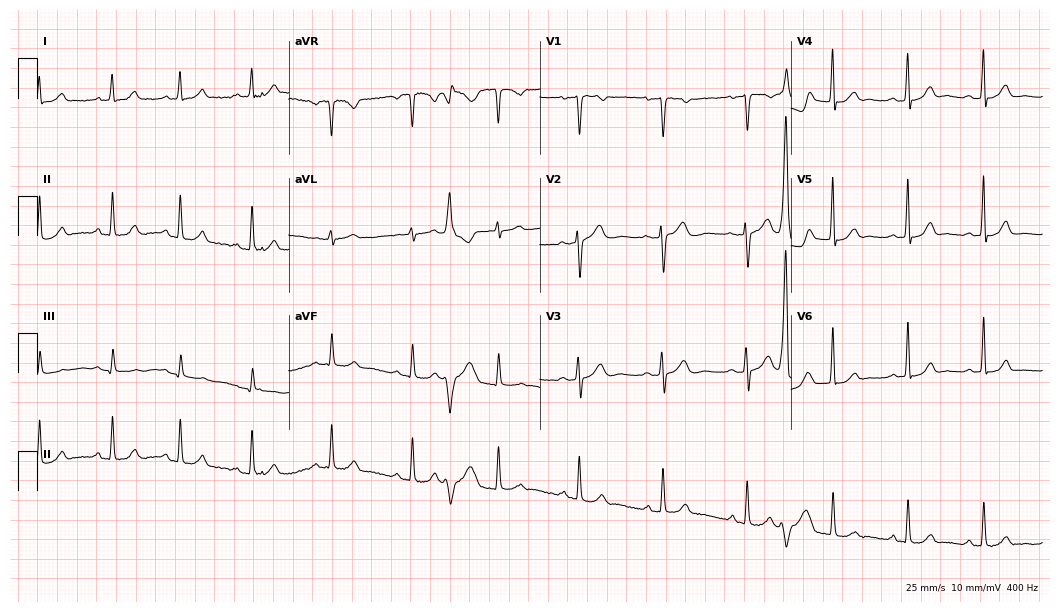
Resting 12-lead electrocardiogram (10.2-second recording at 400 Hz). Patient: a woman, 38 years old. Read as a normal ECG.